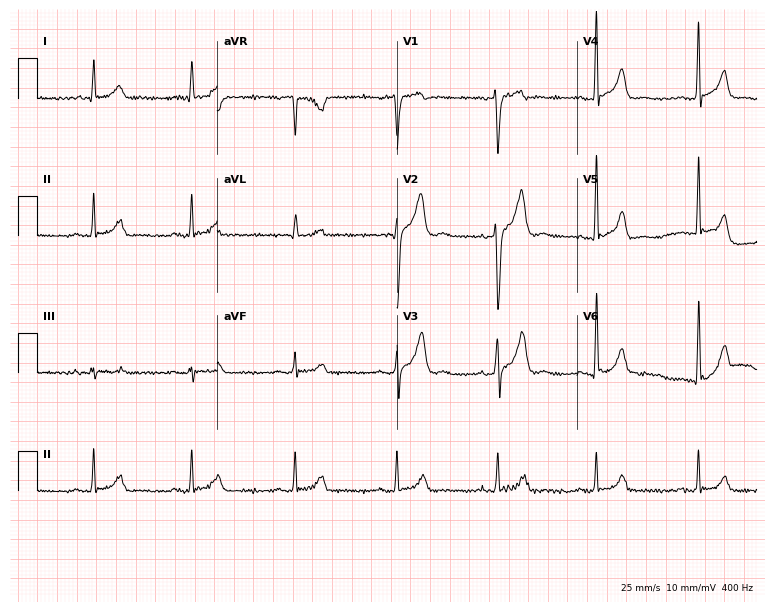
ECG — a 38-year-old man. Screened for six findings — first-degree AV block, right bundle branch block (RBBB), left bundle branch block (LBBB), sinus bradycardia, atrial fibrillation (AF), sinus tachycardia — none is recorded. Other findings, if any, are not listed.